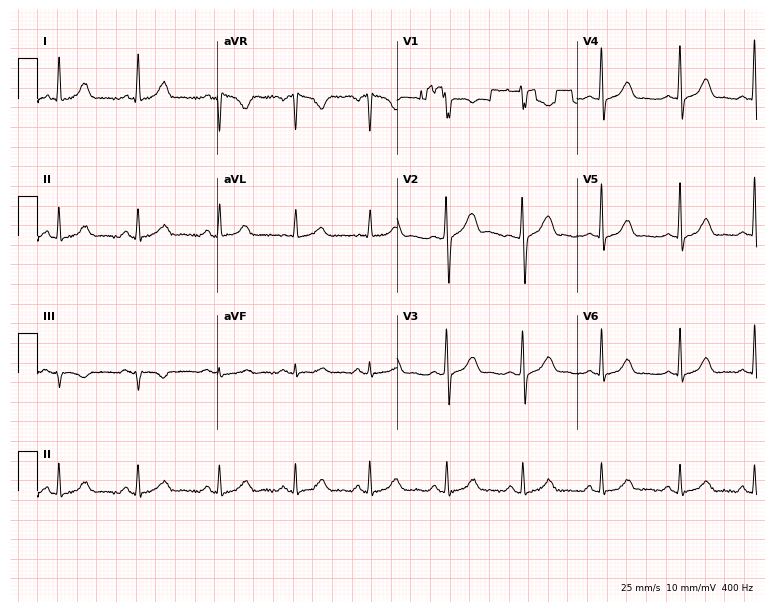
12-lead ECG from a female patient, 36 years old. Labelled as a normal ECG.